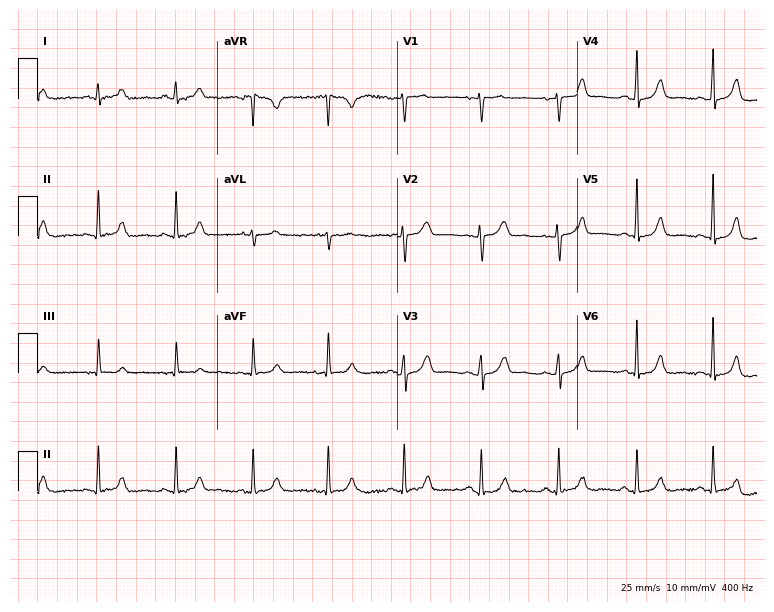
12-lead ECG (7.3-second recording at 400 Hz) from a woman, 48 years old. Labelled as a normal ECG.